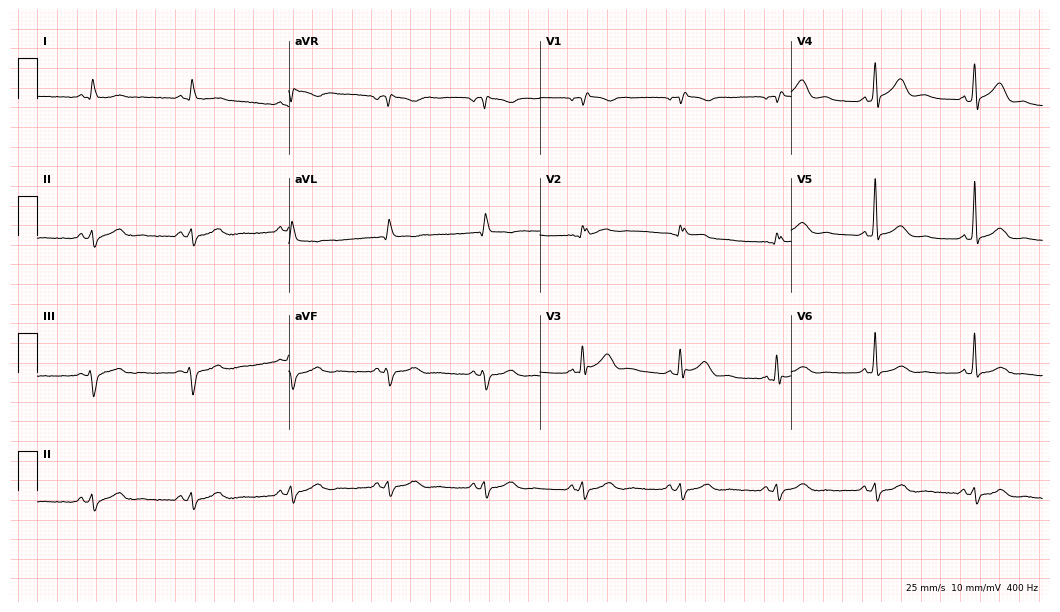
Resting 12-lead electrocardiogram (10.2-second recording at 400 Hz). Patient: a male, 65 years old. None of these six findings is recorded: first-degree AV block, right bundle branch block, left bundle branch block, sinus bradycardia, atrial fibrillation, sinus tachycardia.